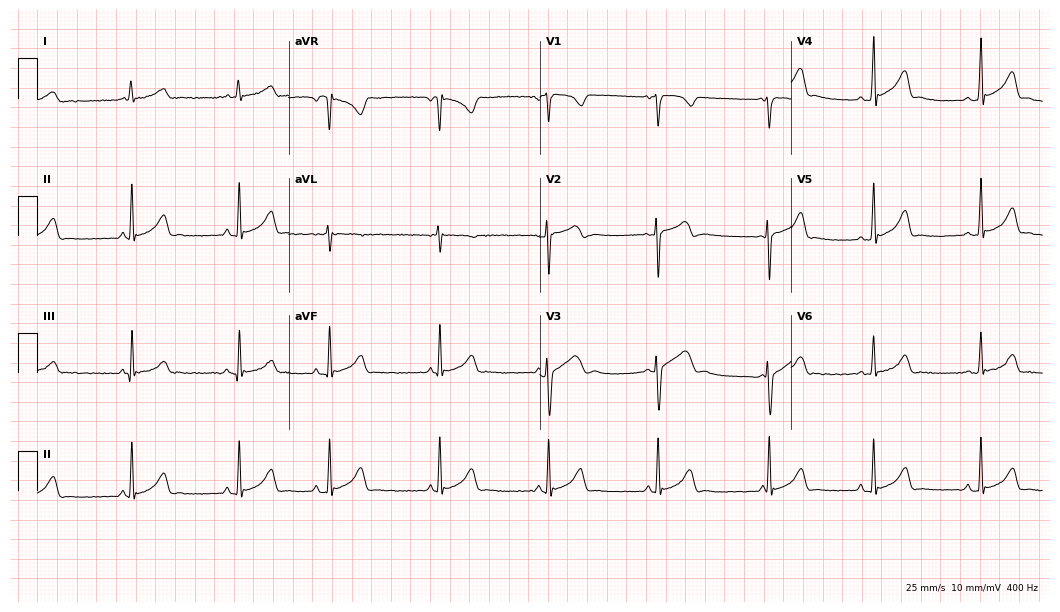
Resting 12-lead electrocardiogram (10.2-second recording at 400 Hz). Patient: an 18-year-old female. None of these six findings is recorded: first-degree AV block, right bundle branch block, left bundle branch block, sinus bradycardia, atrial fibrillation, sinus tachycardia.